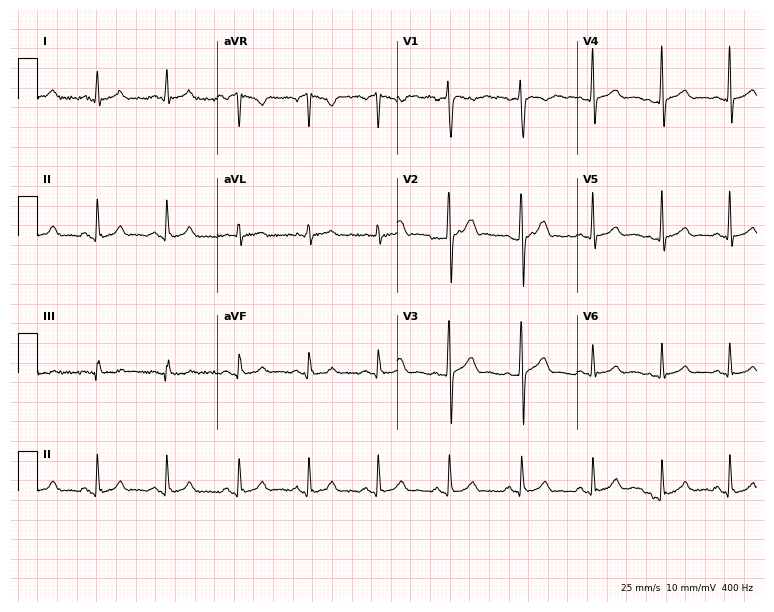
12-lead ECG (7.3-second recording at 400 Hz) from a male, 41 years old. Labelled as a normal ECG.